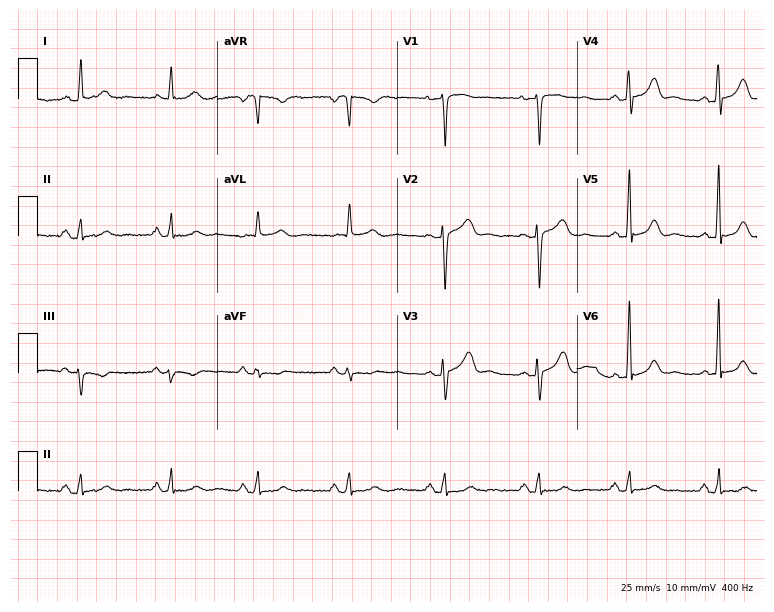
Electrocardiogram, a 53-year-old female patient. Of the six screened findings (first-degree AV block, right bundle branch block (RBBB), left bundle branch block (LBBB), sinus bradycardia, atrial fibrillation (AF), sinus tachycardia), none is recorded. Other findings, if any, are not listed.